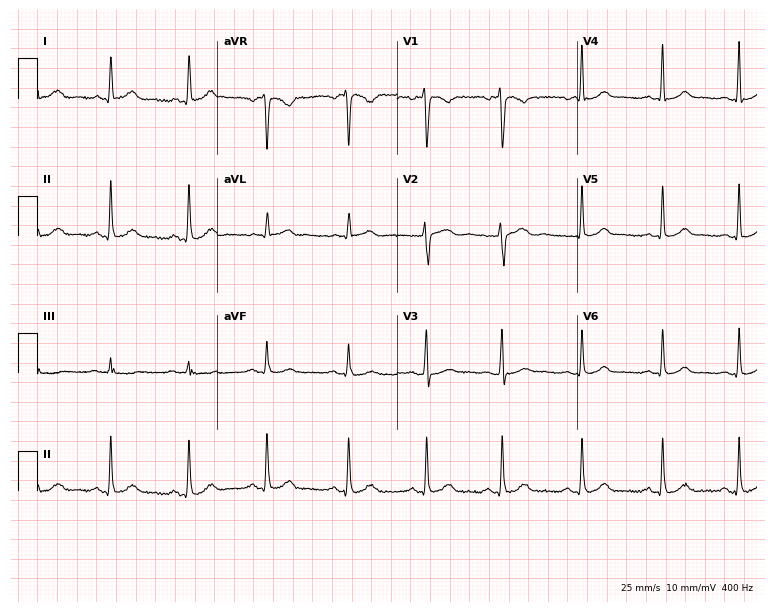
12-lead ECG from a 33-year-old female. Recorded interpretation: within normal limits.